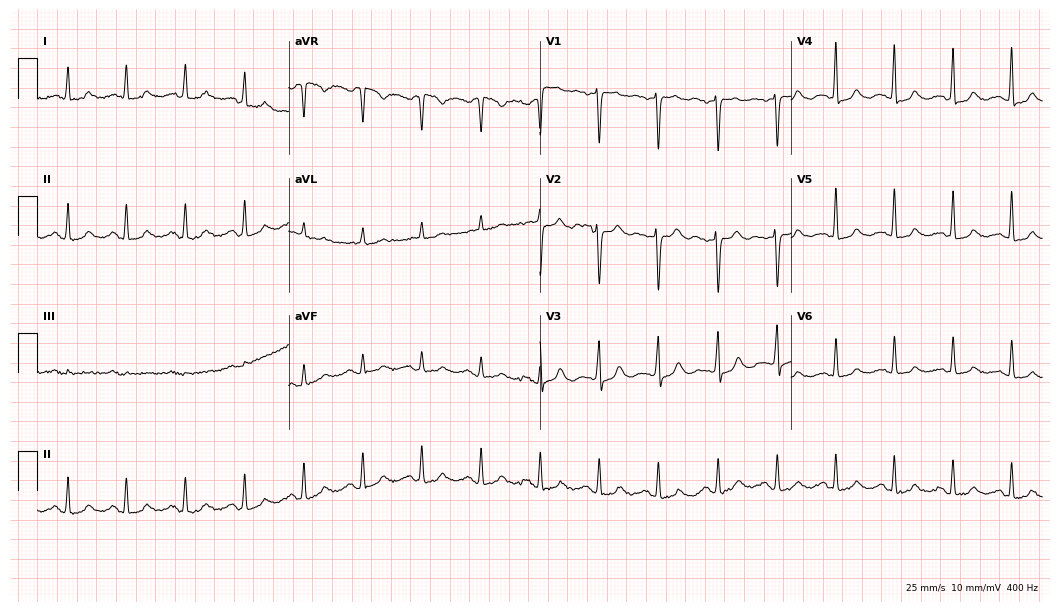
Electrocardiogram, a female, 66 years old. Interpretation includes sinus tachycardia (a sinus rate of 100 beats per minute or more).